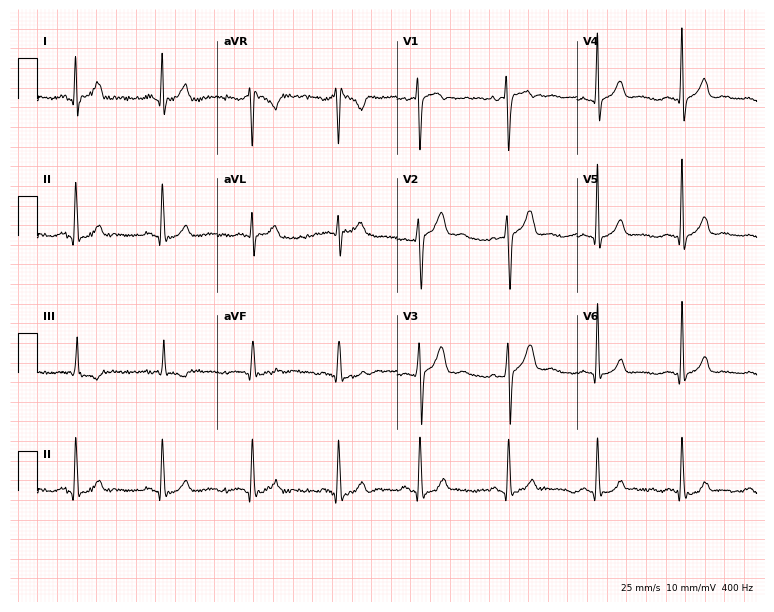
Standard 12-lead ECG recorded from a man, 18 years old. Read as a normal ECG.